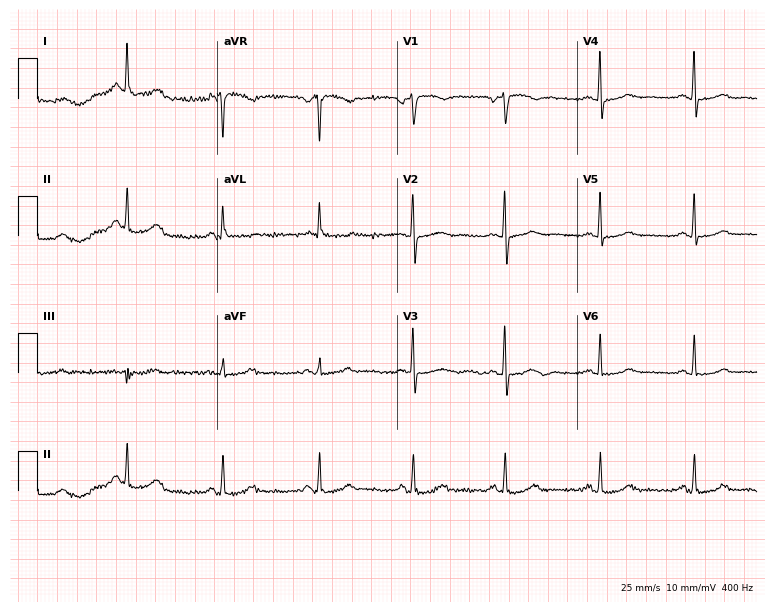
Standard 12-lead ECG recorded from a woman, 58 years old. Read as a normal ECG.